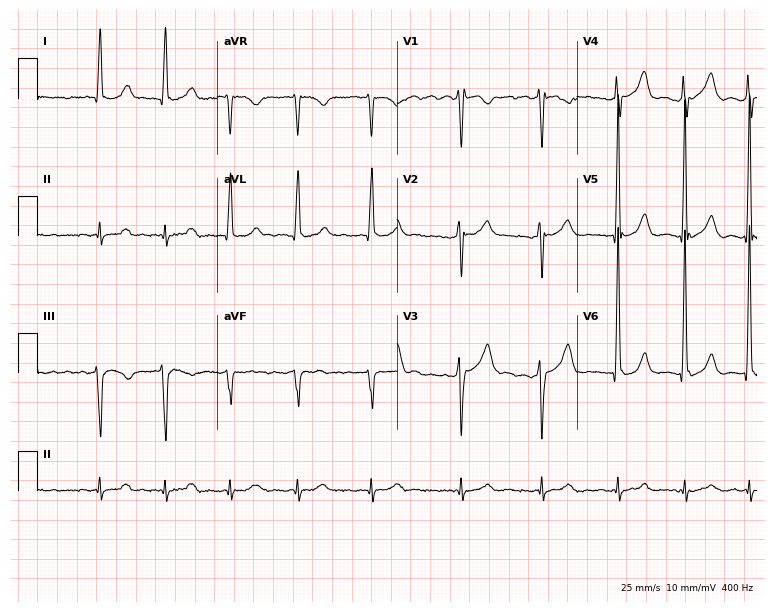
Standard 12-lead ECG recorded from a male, 74 years old (7.3-second recording at 400 Hz). The tracing shows atrial fibrillation.